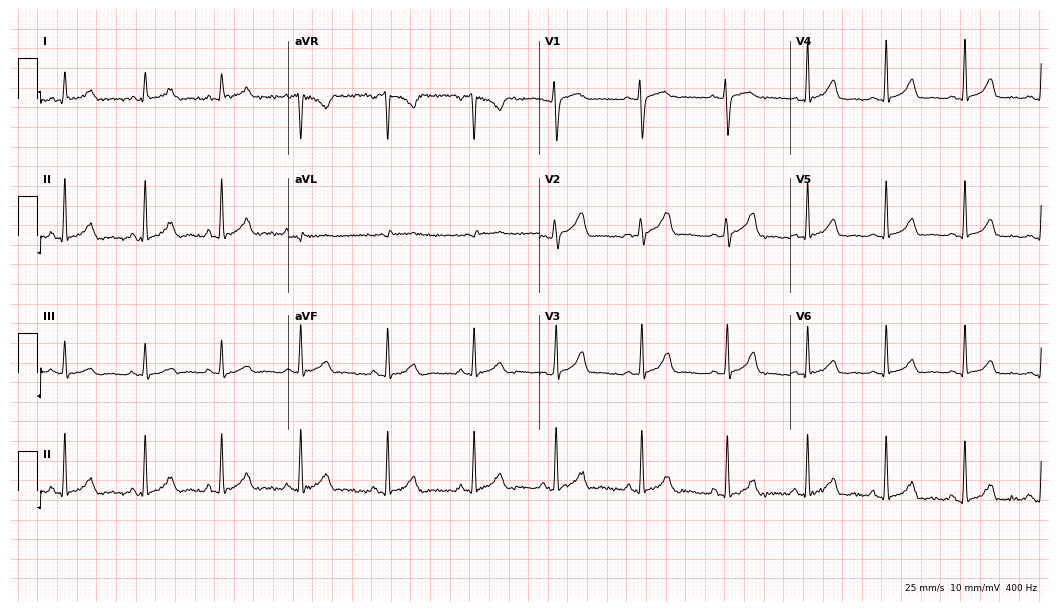
12-lead ECG from a female patient, 38 years old. Recorded interpretation: within normal limits.